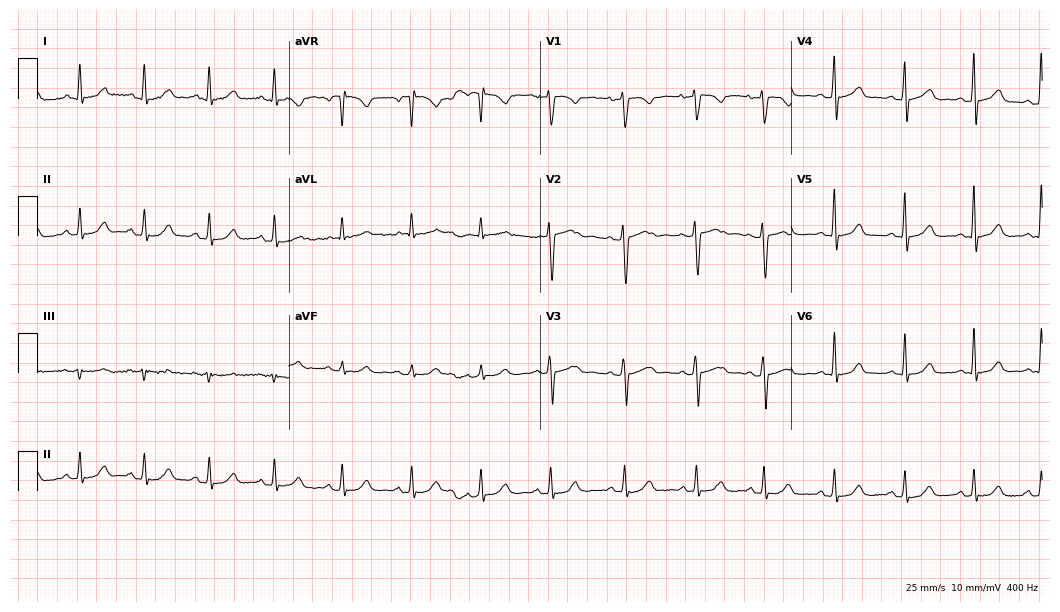
Standard 12-lead ECG recorded from a 38-year-old female patient. Read as a normal ECG.